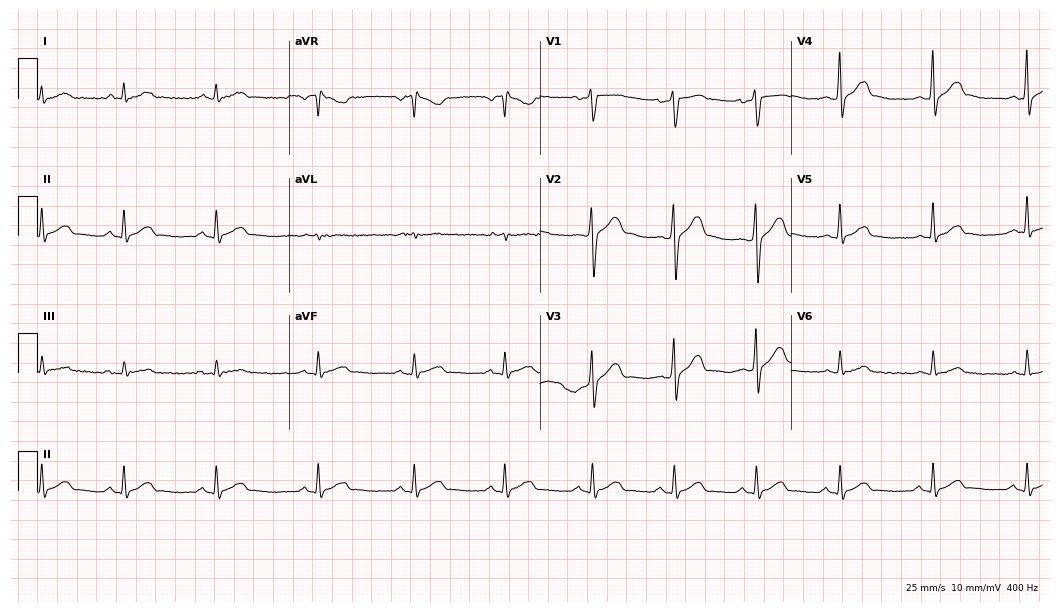
12-lead ECG (10.2-second recording at 400 Hz) from a male, 41 years old. Labelled as a normal ECG.